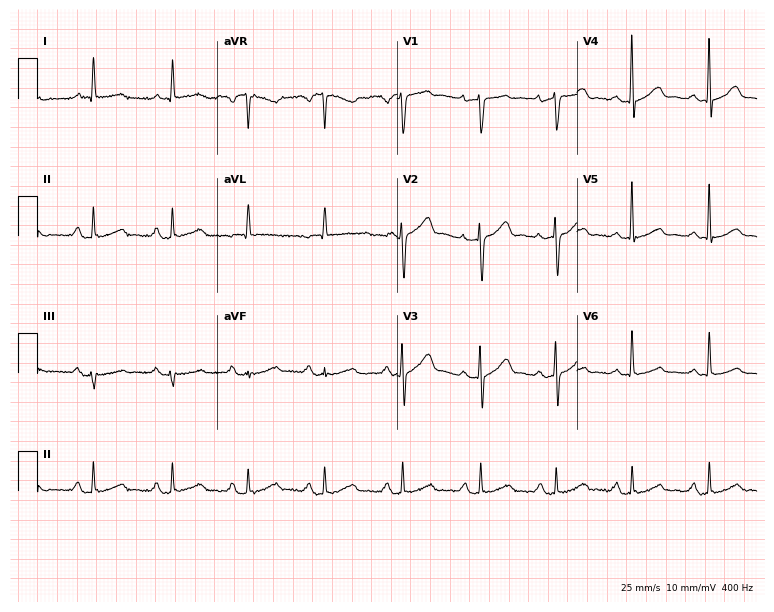
ECG (7.3-second recording at 400 Hz) — a female, 82 years old. Labelled as a normal ECG.